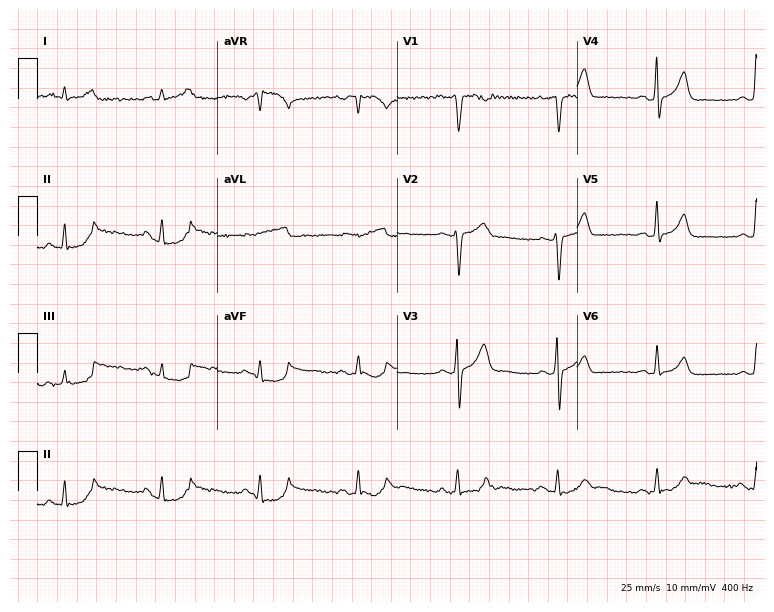
12-lead ECG (7.3-second recording at 400 Hz) from a male, 48 years old. Screened for six findings — first-degree AV block, right bundle branch block, left bundle branch block, sinus bradycardia, atrial fibrillation, sinus tachycardia — none is recorded. Findings outside these six are not listed.